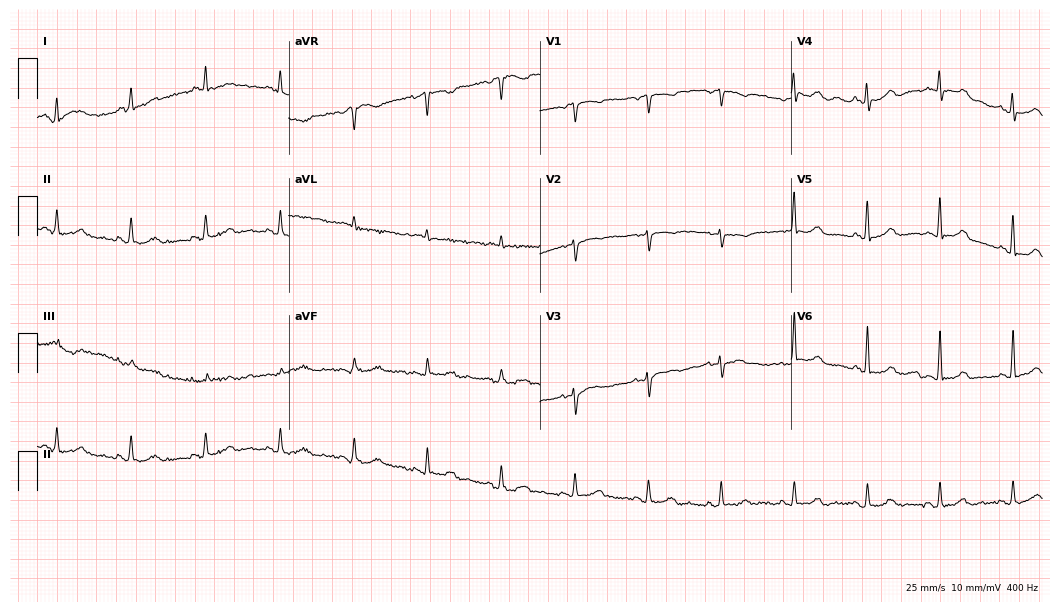
12-lead ECG from an 85-year-old woman. Screened for six findings — first-degree AV block, right bundle branch block, left bundle branch block, sinus bradycardia, atrial fibrillation, sinus tachycardia — none is recorded. Only these six findings were labelled.